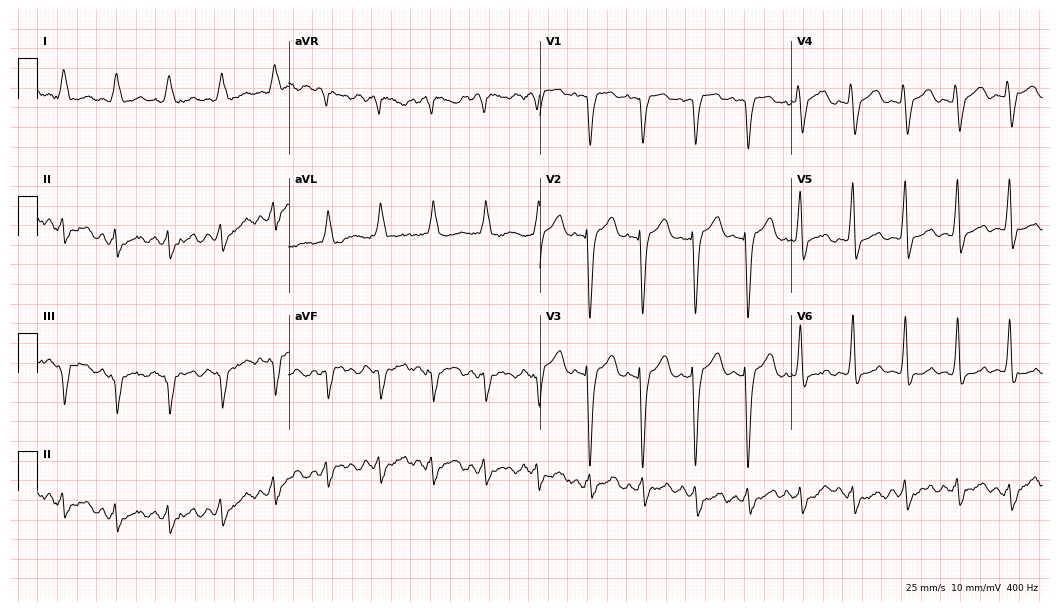
ECG (10.2-second recording at 400 Hz) — a woman, 72 years old. Findings include left bundle branch block (LBBB), sinus tachycardia (a sinus rate of 100 beats per minute or more).